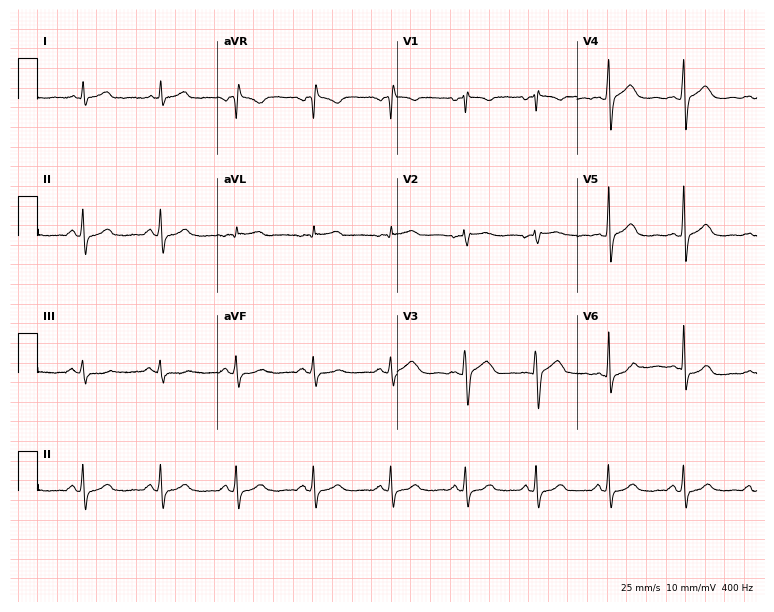
12-lead ECG from a woman, 46 years old. Recorded interpretation: within normal limits.